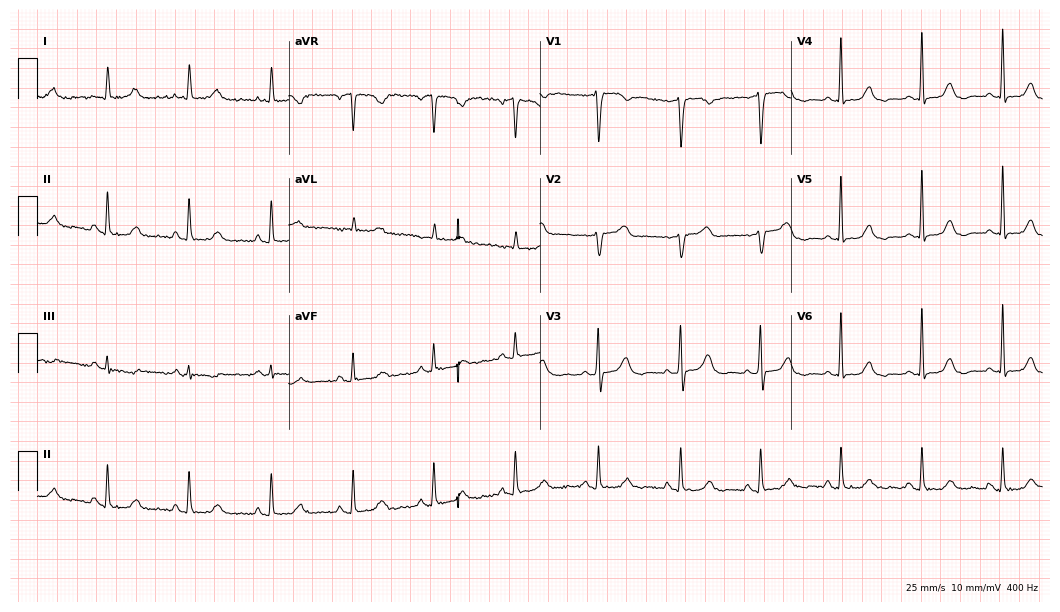
ECG (10.2-second recording at 400 Hz) — a female, 81 years old. Labelled as a normal ECG.